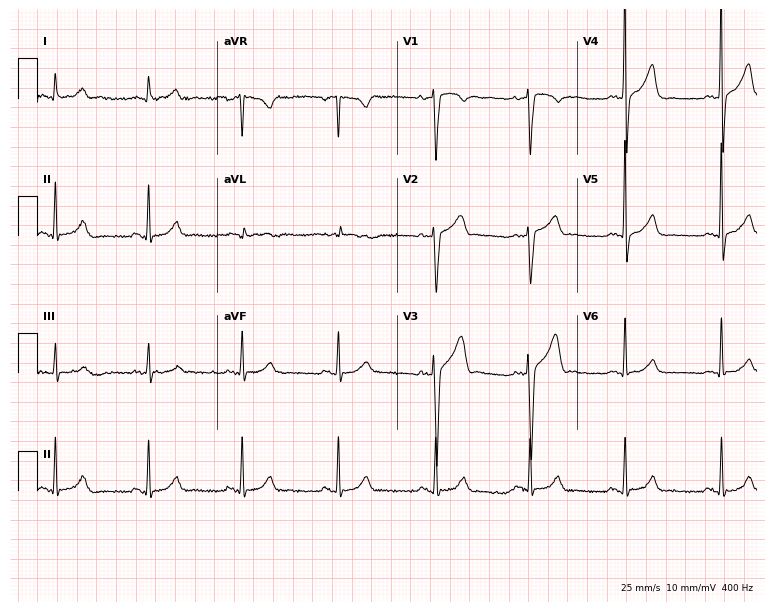
Standard 12-lead ECG recorded from a man, 49 years old. Read as a normal ECG.